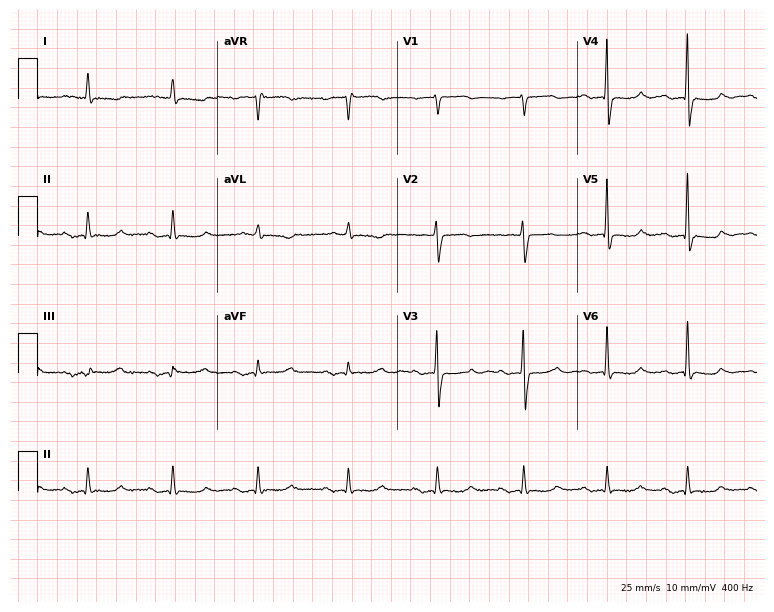
12-lead ECG from a woman, 80 years old. Screened for six findings — first-degree AV block, right bundle branch block, left bundle branch block, sinus bradycardia, atrial fibrillation, sinus tachycardia — none is recorded.